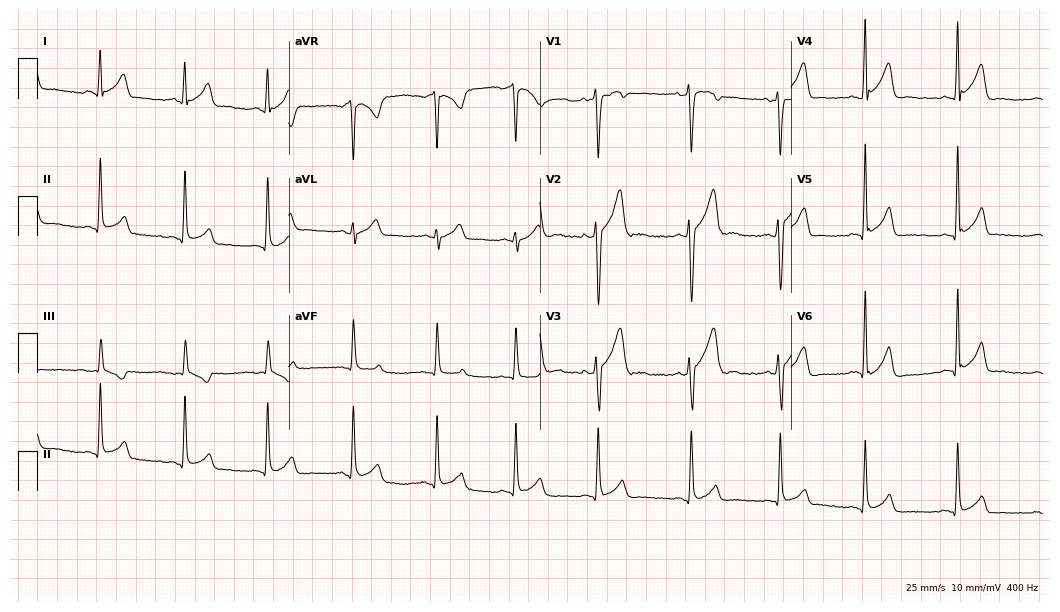
12-lead ECG from a man, 23 years old. Labelled as a normal ECG.